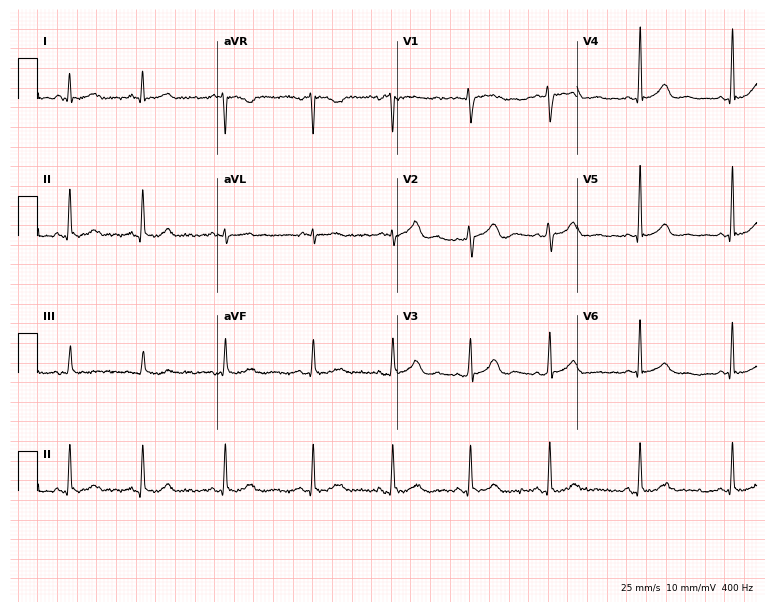
Standard 12-lead ECG recorded from a female, 42 years old (7.3-second recording at 400 Hz). Read as a normal ECG.